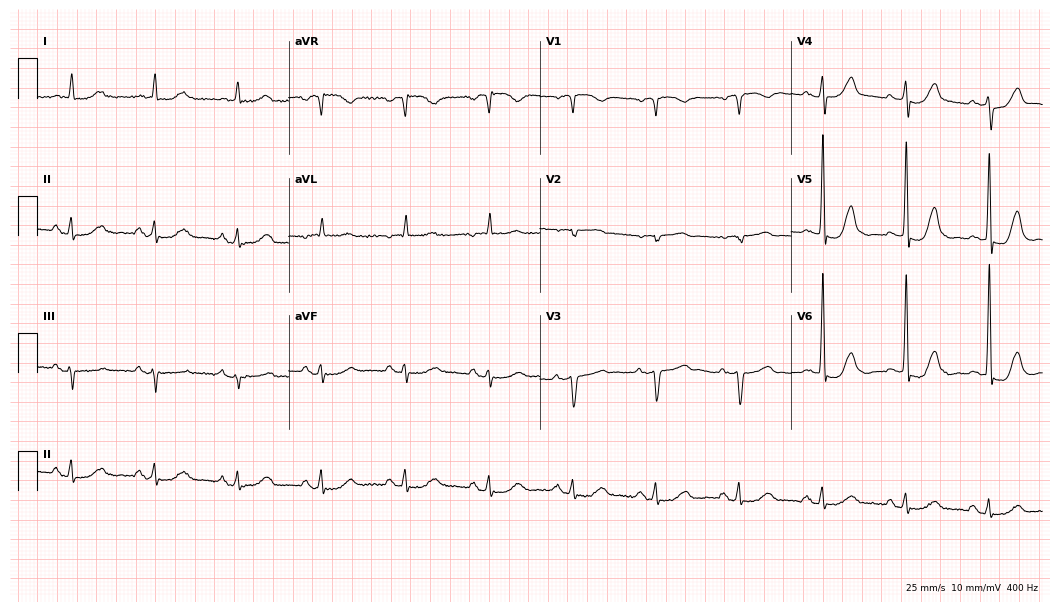
Electrocardiogram (10.2-second recording at 400 Hz), an 83-year-old female. Of the six screened findings (first-degree AV block, right bundle branch block, left bundle branch block, sinus bradycardia, atrial fibrillation, sinus tachycardia), none is recorded. Only these six findings were labelled.